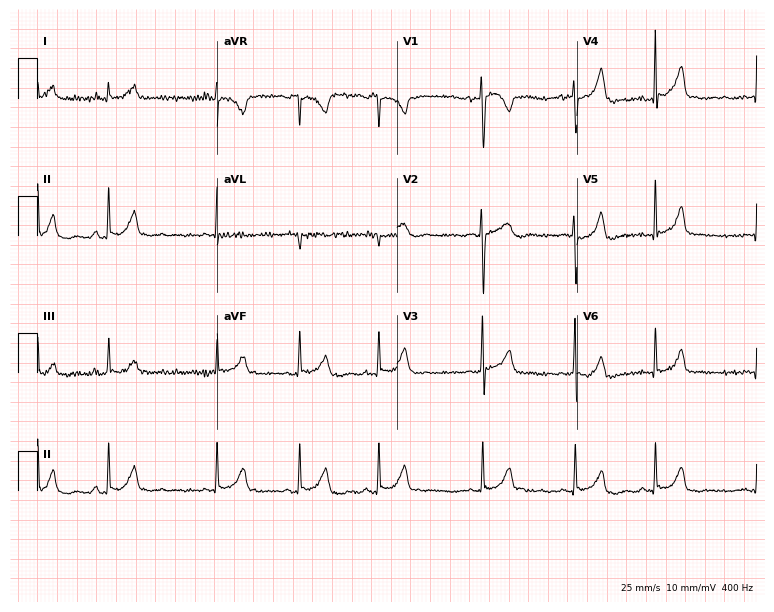
Electrocardiogram, a female patient, 30 years old. Overall reading on record: normal ECG.